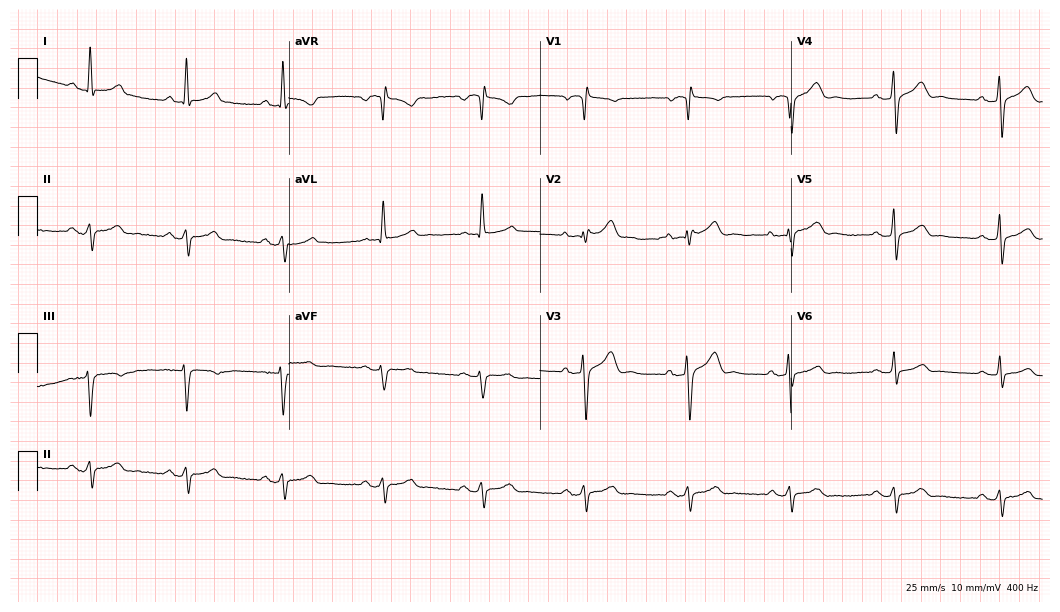
12-lead ECG from a 60-year-old male. Screened for six findings — first-degree AV block, right bundle branch block, left bundle branch block, sinus bradycardia, atrial fibrillation, sinus tachycardia — none is recorded. Findings outside these six are not listed.